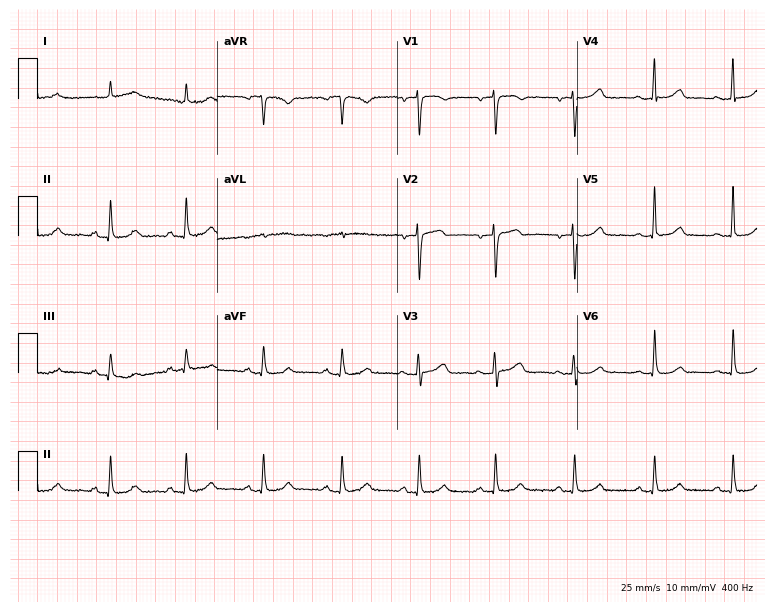
12-lead ECG (7.3-second recording at 400 Hz) from a female patient, 53 years old. Screened for six findings — first-degree AV block, right bundle branch block (RBBB), left bundle branch block (LBBB), sinus bradycardia, atrial fibrillation (AF), sinus tachycardia — none is recorded.